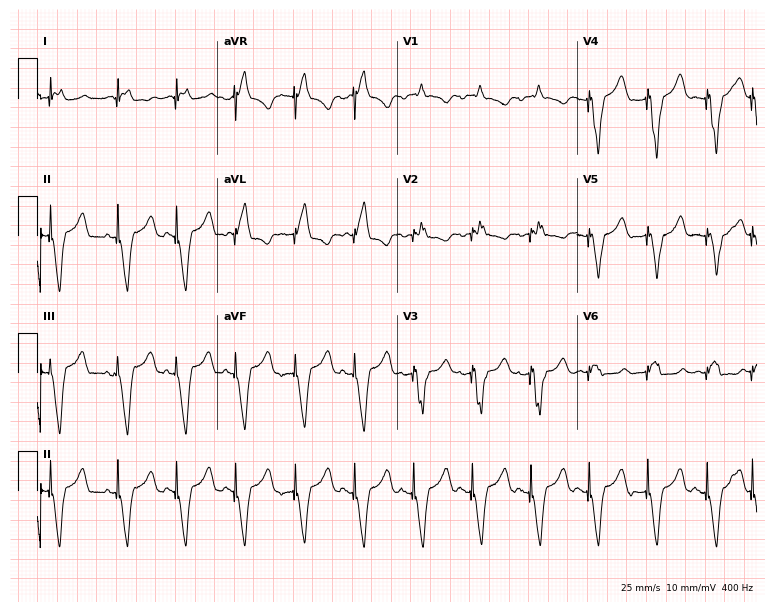
ECG (7.3-second recording at 400 Hz) — a 77-year-old female patient. Screened for six findings — first-degree AV block, right bundle branch block, left bundle branch block, sinus bradycardia, atrial fibrillation, sinus tachycardia — none is recorded.